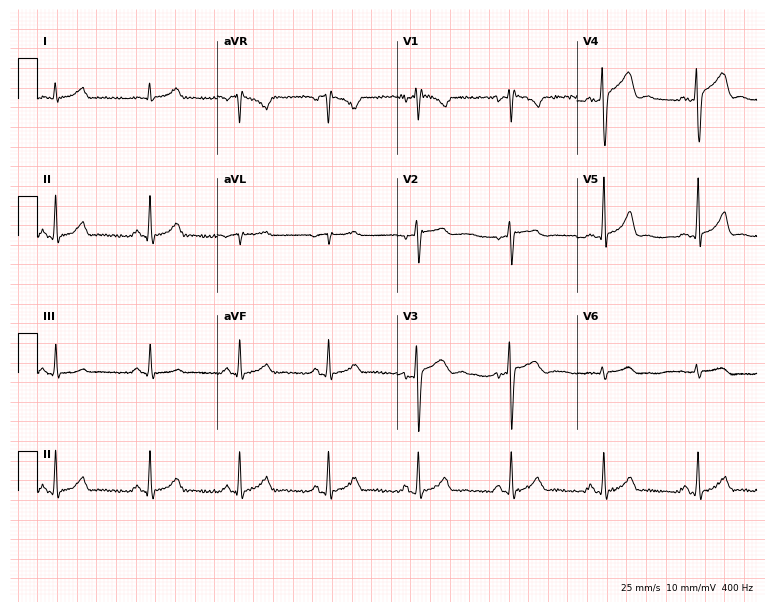
12-lead ECG (7.3-second recording at 400 Hz) from a male patient, 41 years old. Labelled as a normal ECG.